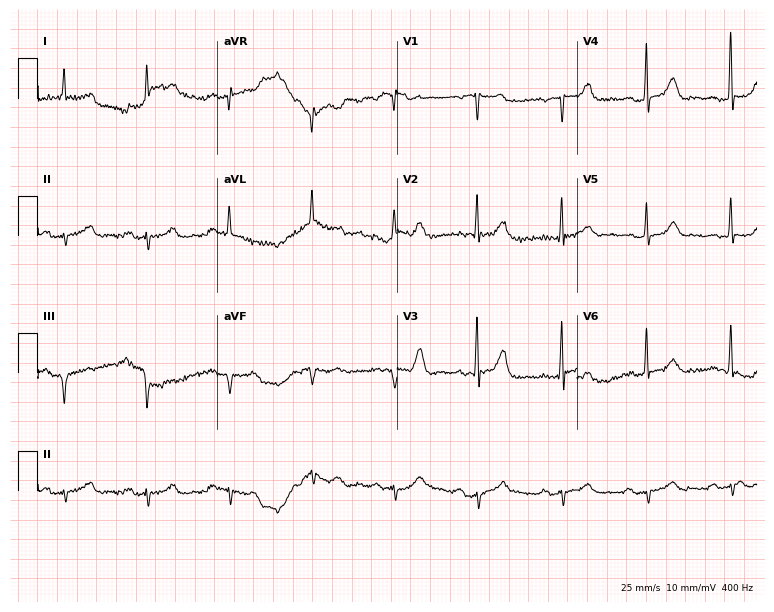
Resting 12-lead electrocardiogram (7.3-second recording at 400 Hz). Patient: a man, 80 years old. None of these six findings is recorded: first-degree AV block, right bundle branch block, left bundle branch block, sinus bradycardia, atrial fibrillation, sinus tachycardia.